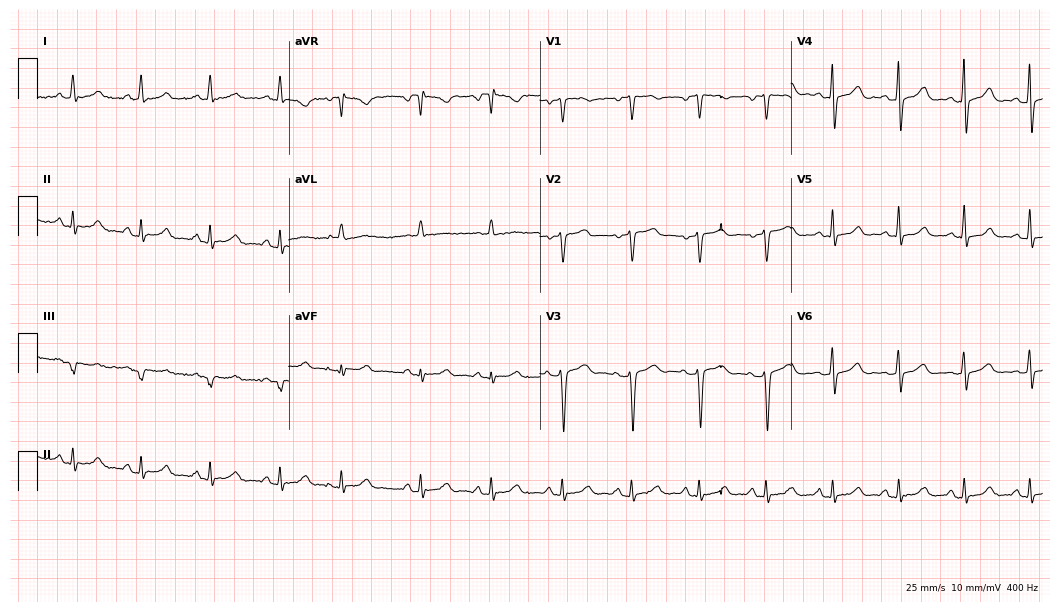
Electrocardiogram (10.2-second recording at 400 Hz), a 59-year-old female patient. Overall reading on record: normal ECG.